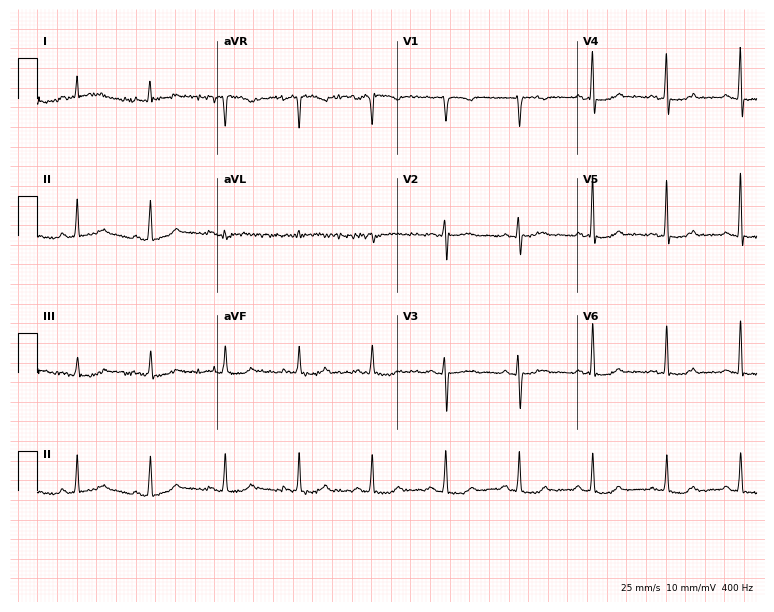
Electrocardiogram, a 73-year-old woman. Overall reading on record: normal ECG.